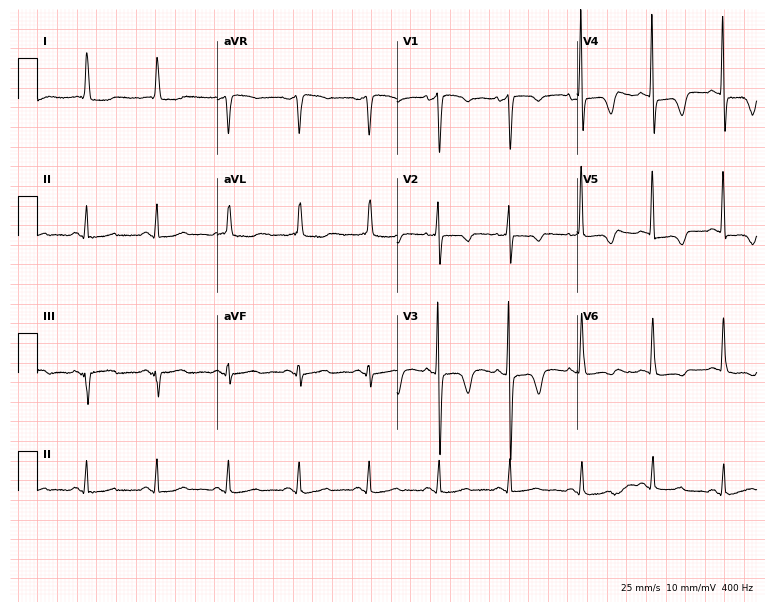
Standard 12-lead ECG recorded from a female patient, 84 years old (7.3-second recording at 400 Hz). None of these six findings is recorded: first-degree AV block, right bundle branch block, left bundle branch block, sinus bradycardia, atrial fibrillation, sinus tachycardia.